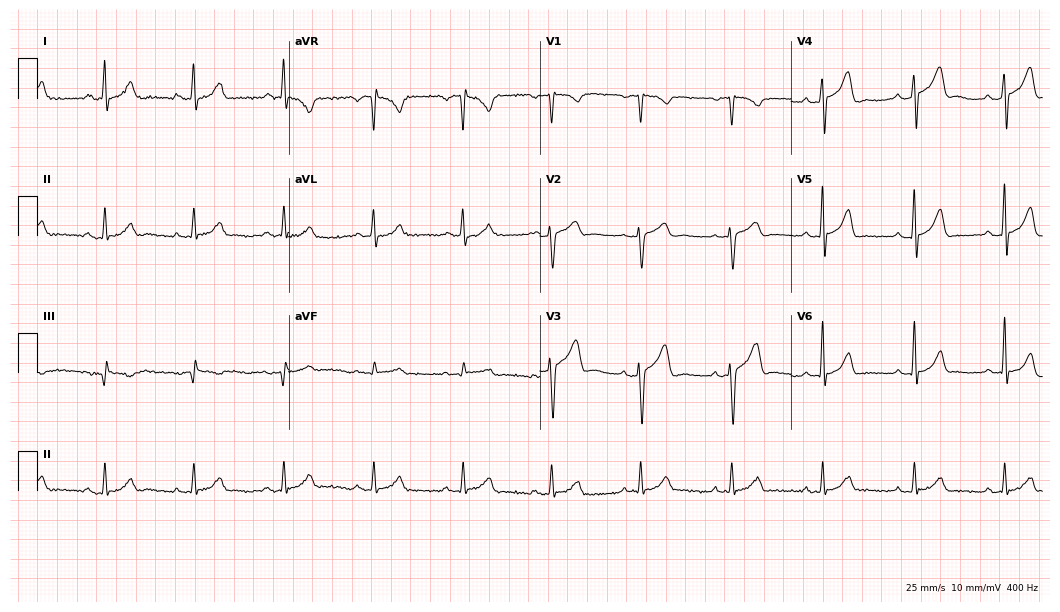
12-lead ECG from a man, 43 years old. No first-degree AV block, right bundle branch block, left bundle branch block, sinus bradycardia, atrial fibrillation or sinus tachycardia recorded for this tracing.